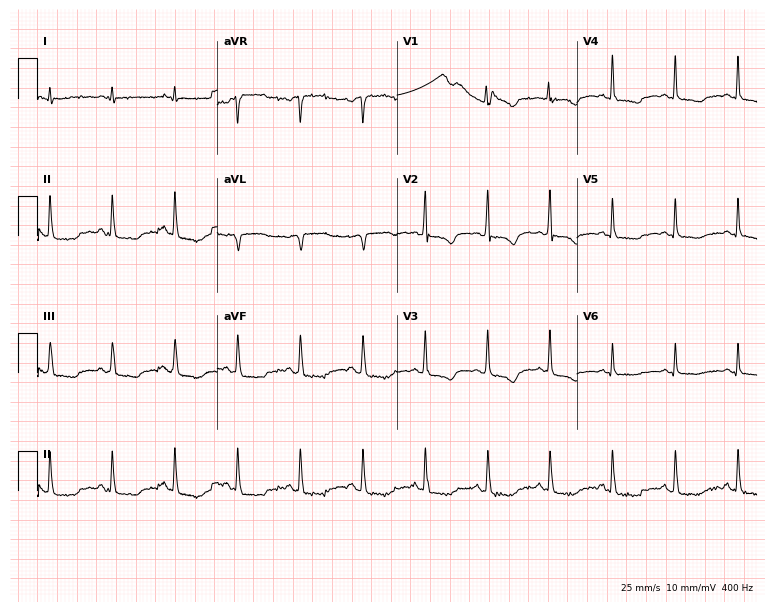
12-lead ECG from a 44-year-old female (7.3-second recording at 400 Hz). No first-degree AV block, right bundle branch block, left bundle branch block, sinus bradycardia, atrial fibrillation or sinus tachycardia recorded for this tracing. Other findings, if any, are not listed.